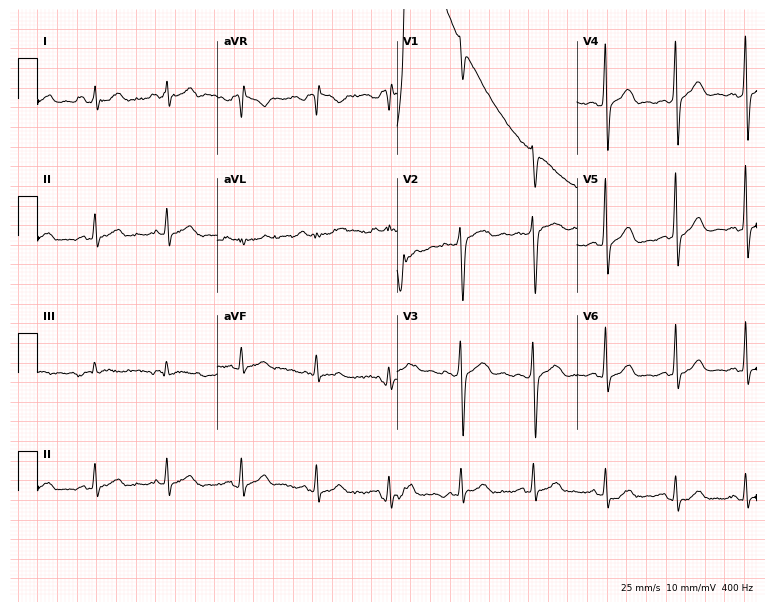
12-lead ECG from a 57-year-old male. No first-degree AV block, right bundle branch block, left bundle branch block, sinus bradycardia, atrial fibrillation or sinus tachycardia recorded for this tracing.